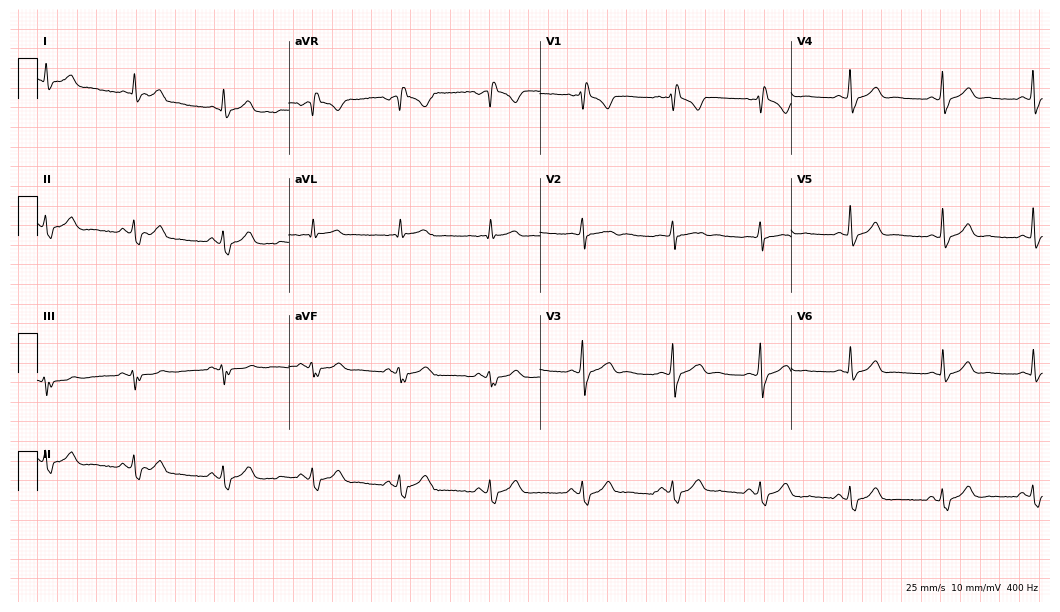
Standard 12-lead ECG recorded from a 39-year-old male patient. The tracing shows right bundle branch block (RBBB).